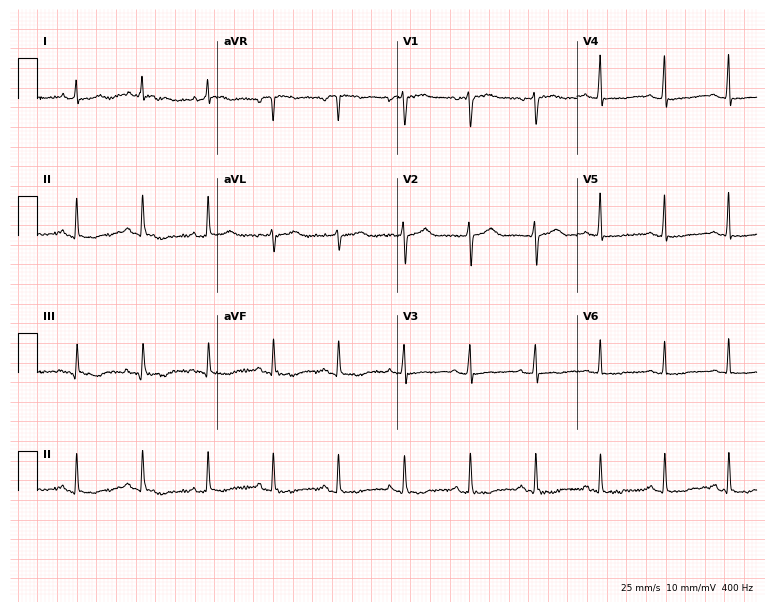
Standard 12-lead ECG recorded from a 48-year-old woman. None of these six findings is recorded: first-degree AV block, right bundle branch block (RBBB), left bundle branch block (LBBB), sinus bradycardia, atrial fibrillation (AF), sinus tachycardia. Other findings, if any, are not listed.